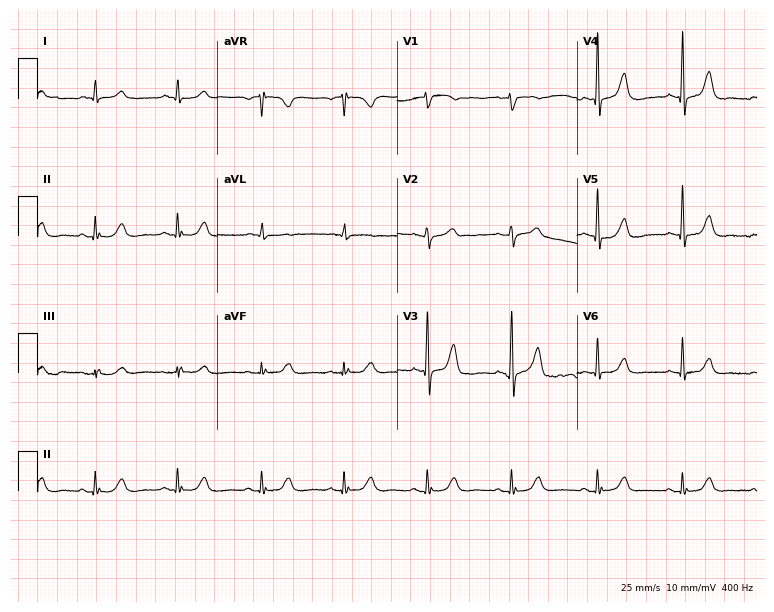
ECG (7.3-second recording at 400 Hz) — a man, 74 years old. Screened for six findings — first-degree AV block, right bundle branch block, left bundle branch block, sinus bradycardia, atrial fibrillation, sinus tachycardia — none is recorded.